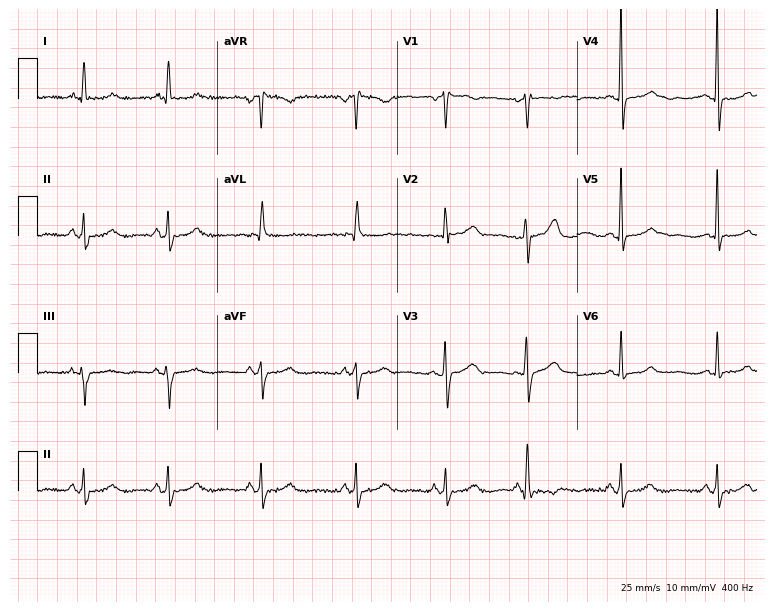
Resting 12-lead electrocardiogram. Patient: a female, 42 years old. None of these six findings is recorded: first-degree AV block, right bundle branch block, left bundle branch block, sinus bradycardia, atrial fibrillation, sinus tachycardia.